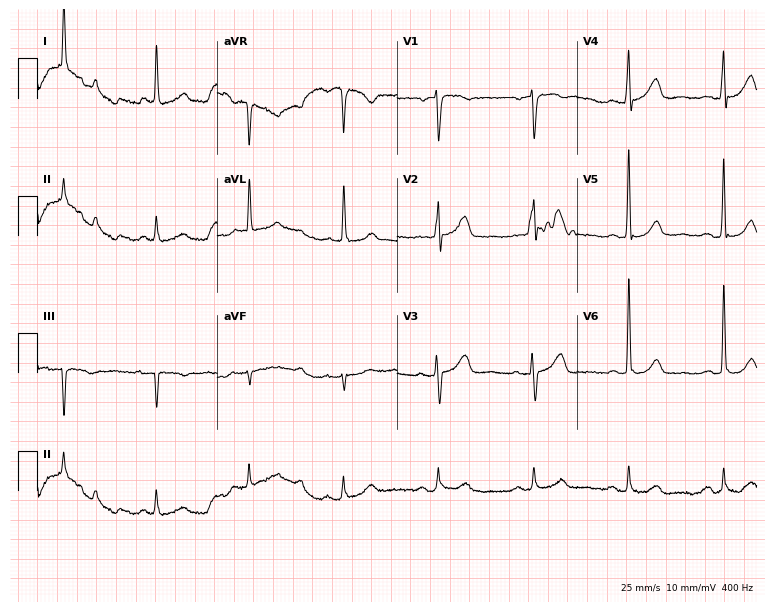
ECG (7.3-second recording at 400 Hz) — a 77-year-old male. Screened for six findings — first-degree AV block, right bundle branch block (RBBB), left bundle branch block (LBBB), sinus bradycardia, atrial fibrillation (AF), sinus tachycardia — none is recorded.